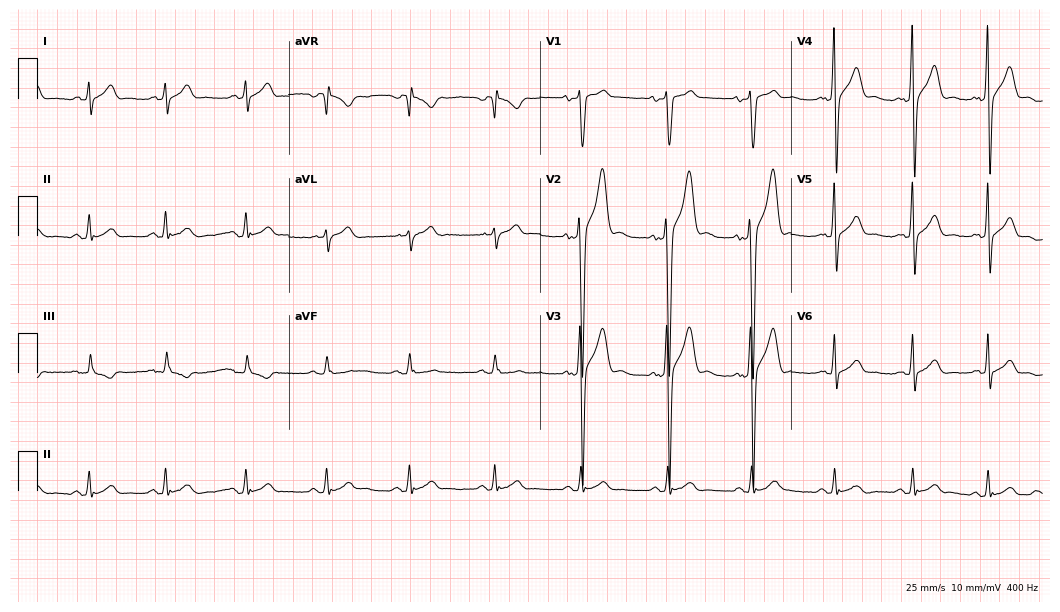
ECG (10.2-second recording at 400 Hz) — a 47-year-old male patient. Labelled as a normal ECG.